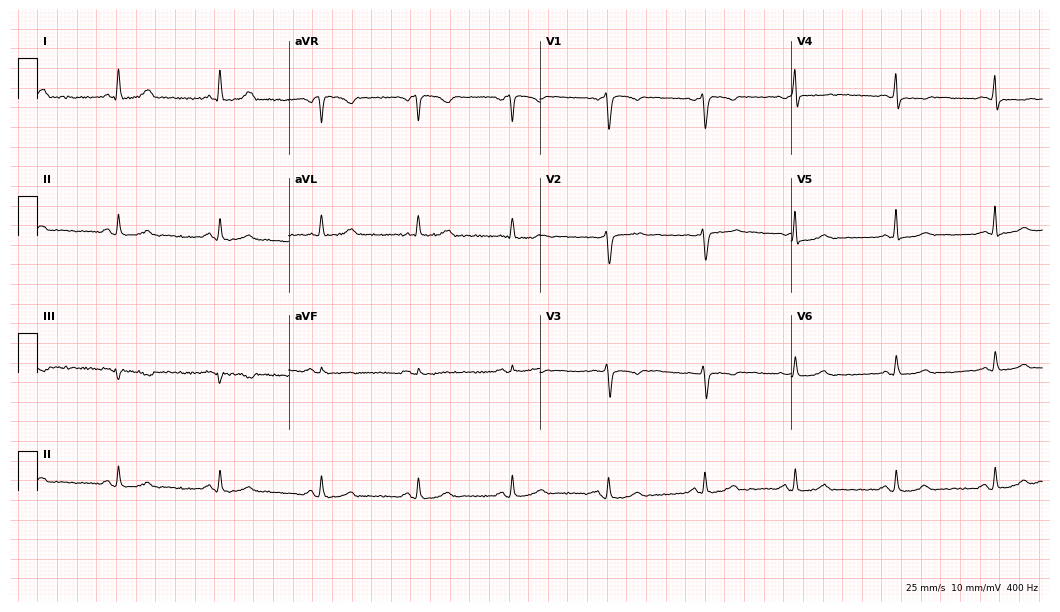
ECG — a 38-year-old female patient. Screened for six findings — first-degree AV block, right bundle branch block, left bundle branch block, sinus bradycardia, atrial fibrillation, sinus tachycardia — none is recorded.